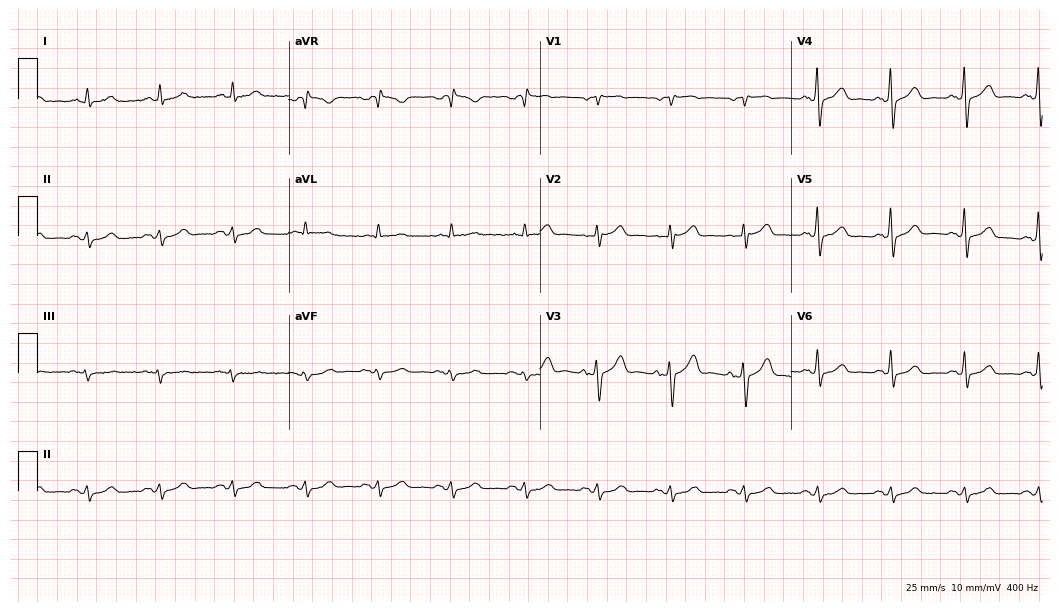
Resting 12-lead electrocardiogram (10.2-second recording at 400 Hz). Patient: a male, 82 years old. Read as a normal ECG.